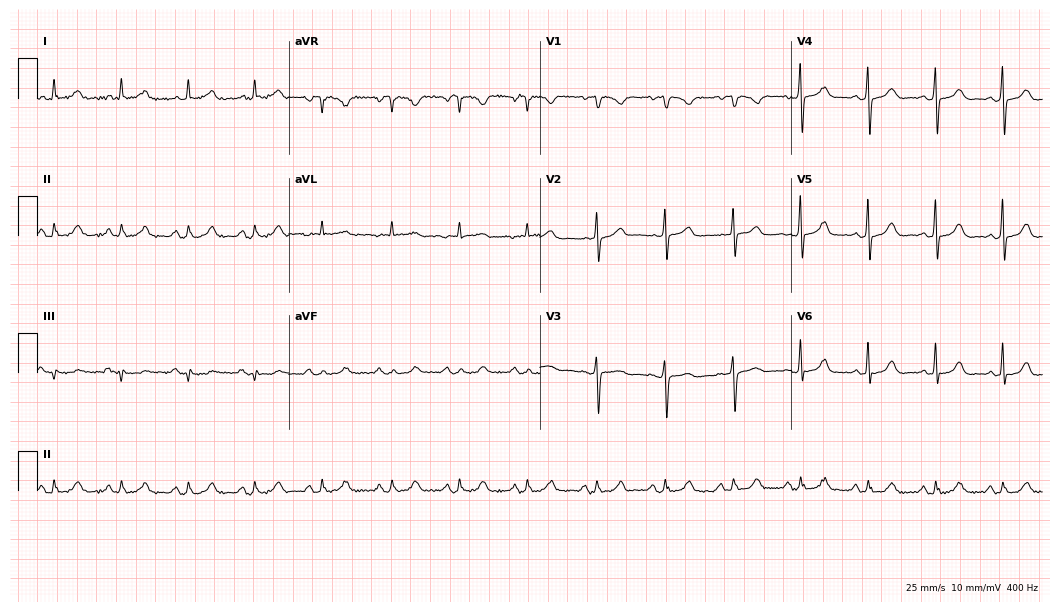
Standard 12-lead ECG recorded from a woman, 58 years old. Read as a normal ECG.